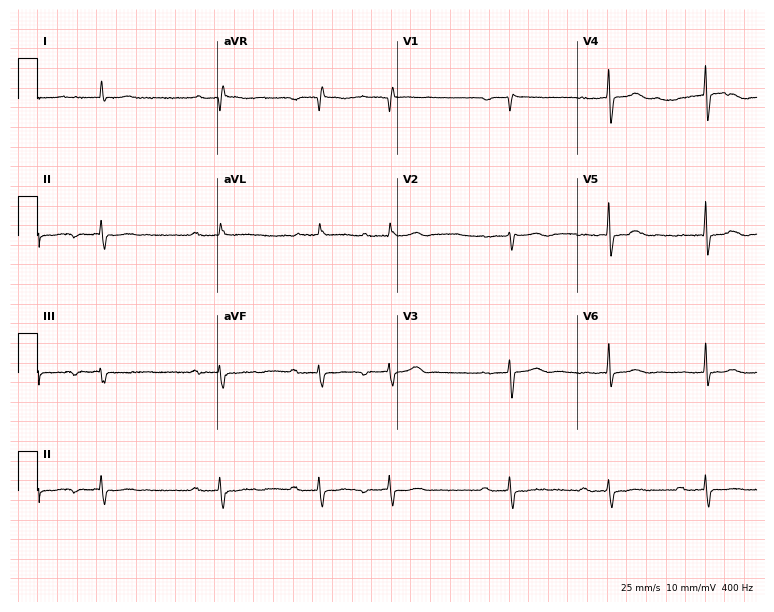
Resting 12-lead electrocardiogram. Patient: a male, 82 years old. The tracing shows first-degree AV block.